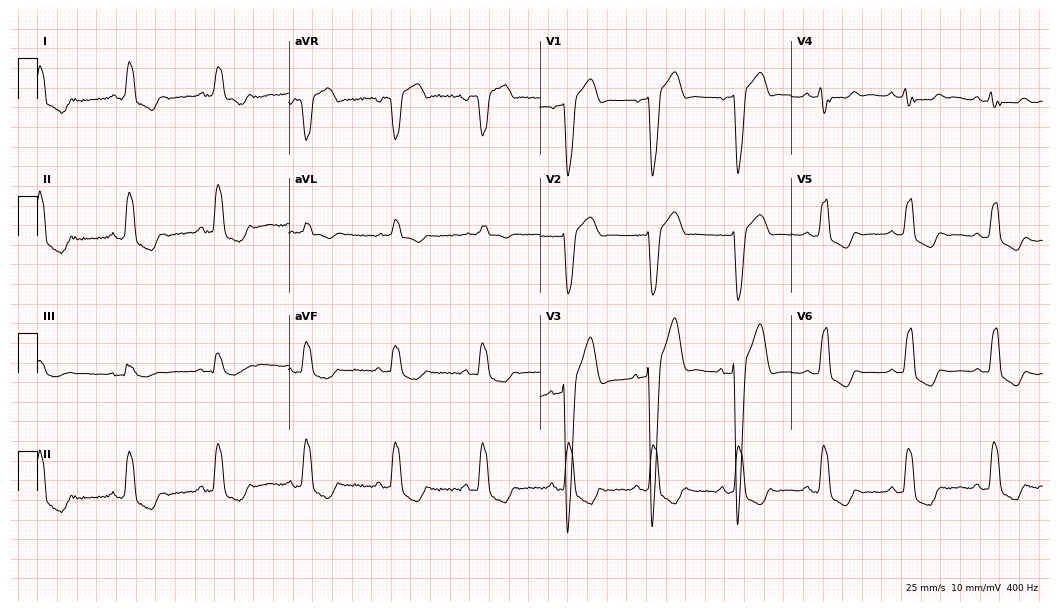
Standard 12-lead ECG recorded from a man, 64 years old. The tracing shows left bundle branch block (LBBB).